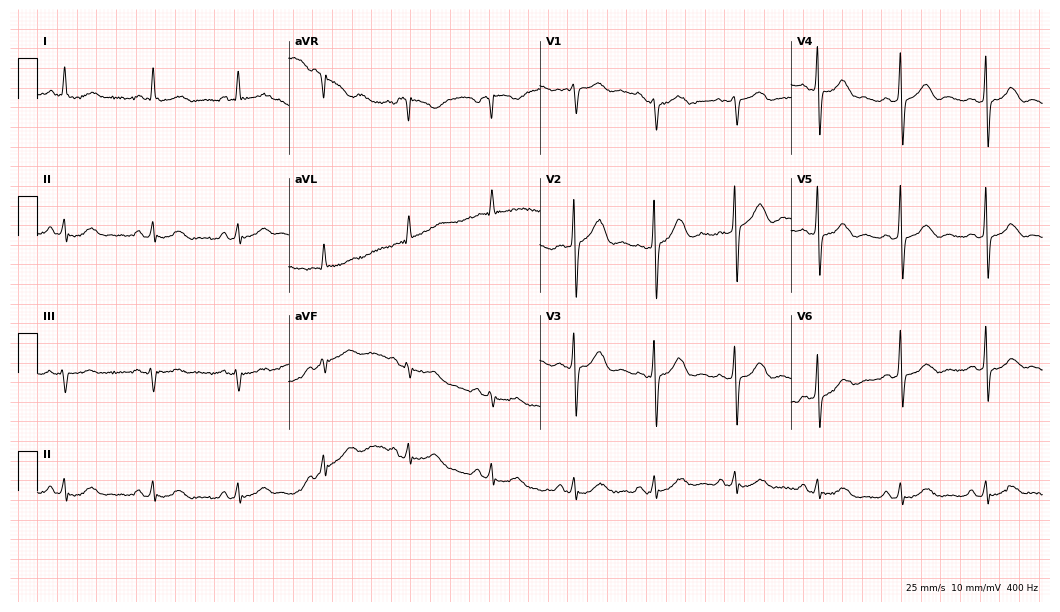
Standard 12-lead ECG recorded from a female patient, 72 years old (10.2-second recording at 400 Hz). None of these six findings is recorded: first-degree AV block, right bundle branch block, left bundle branch block, sinus bradycardia, atrial fibrillation, sinus tachycardia. Findings outside these six are not listed.